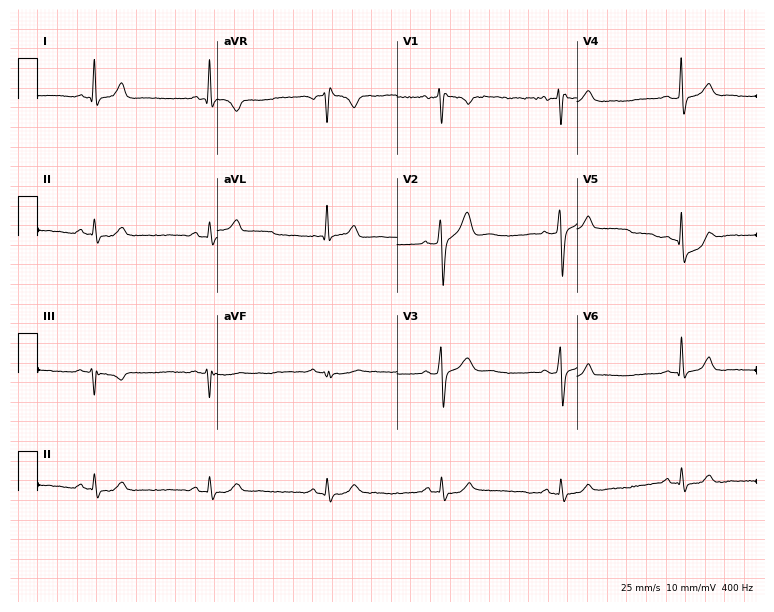
Standard 12-lead ECG recorded from a male, 37 years old. None of these six findings is recorded: first-degree AV block, right bundle branch block (RBBB), left bundle branch block (LBBB), sinus bradycardia, atrial fibrillation (AF), sinus tachycardia.